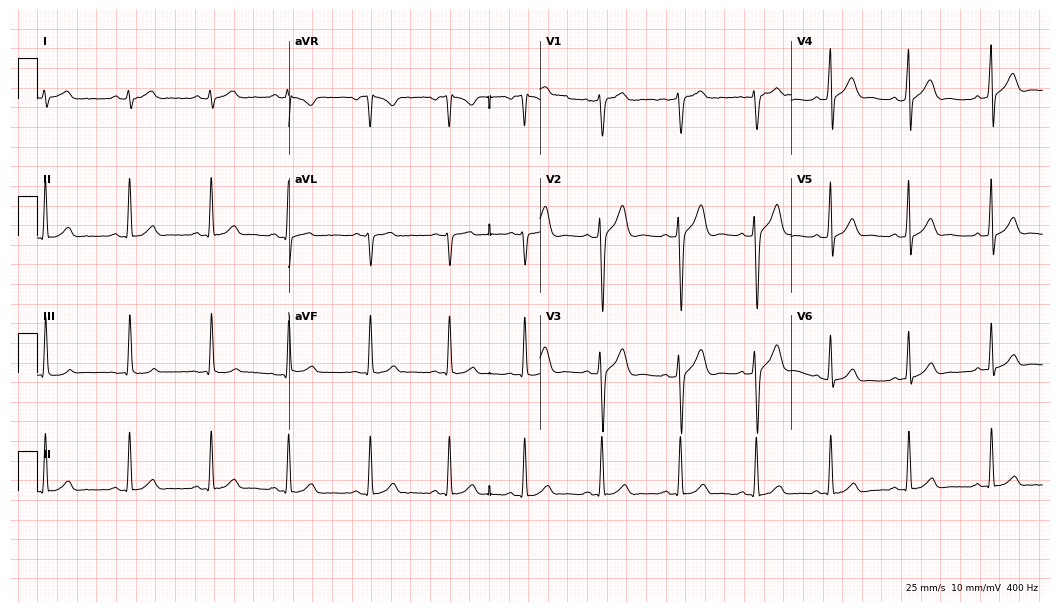
Resting 12-lead electrocardiogram. Patient: a 28-year-old male. Read as a normal ECG.